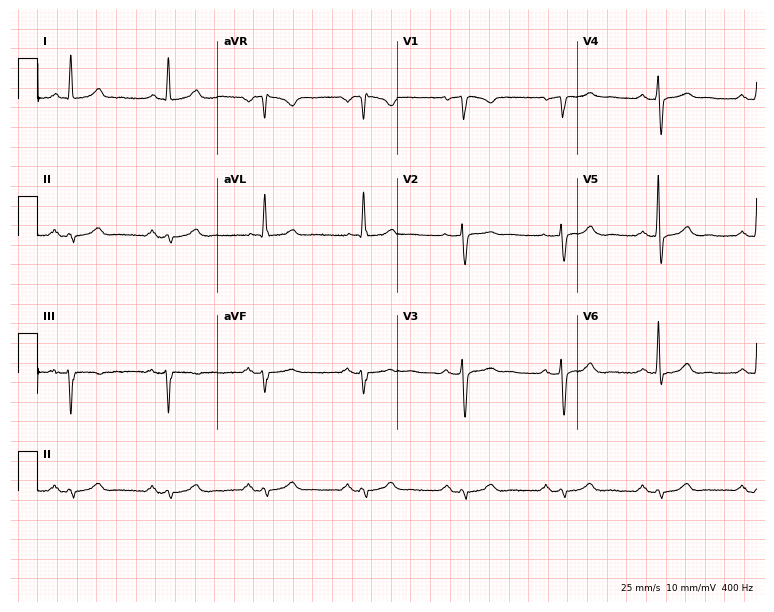
12-lead ECG from a 72-year-old man. No first-degree AV block, right bundle branch block (RBBB), left bundle branch block (LBBB), sinus bradycardia, atrial fibrillation (AF) or sinus tachycardia recorded for this tracing.